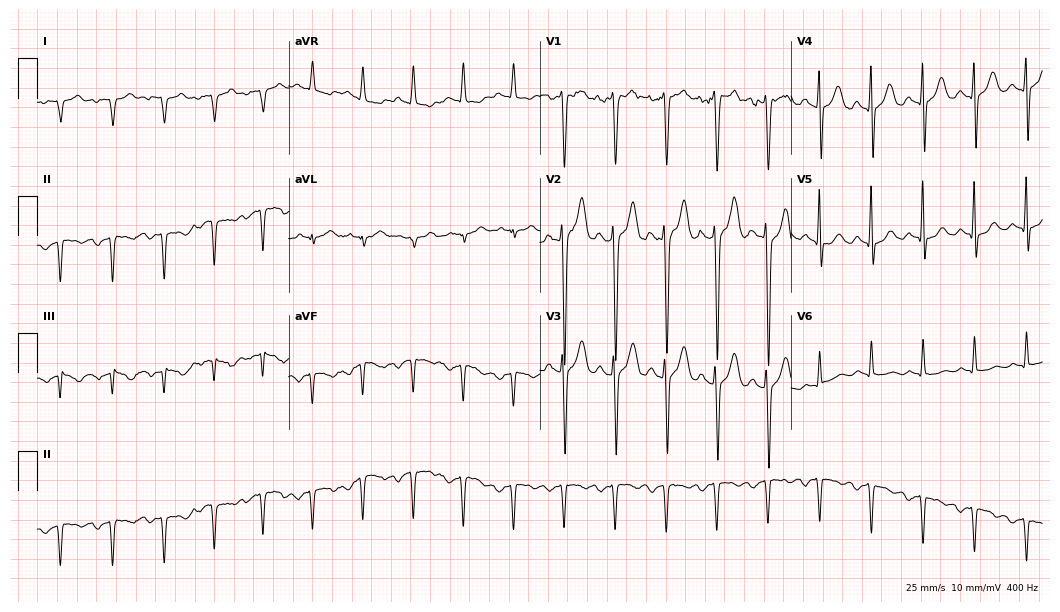
Electrocardiogram (10.2-second recording at 400 Hz), a 26-year-old male patient. Of the six screened findings (first-degree AV block, right bundle branch block (RBBB), left bundle branch block (LBBB), sinus bradycardia, atrial fibrillation (AF), sinus tachycardia), none is recorded.